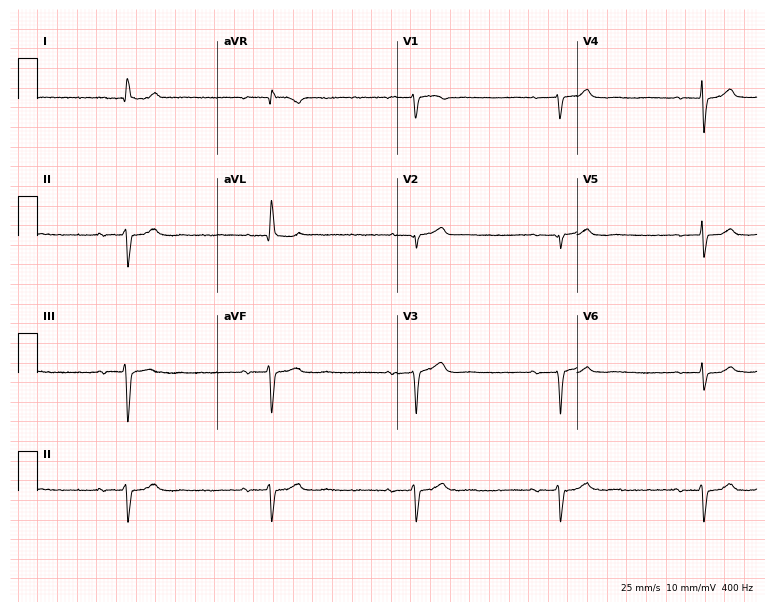
Standard 12-lead ECG recorded from a female patient, 79 years old. None of these six findings is recorded: first-degree AV block, right bundle branch block, left bundle branch block, sinus bradycardia, atrial fibrillation, sinus tachycardia.